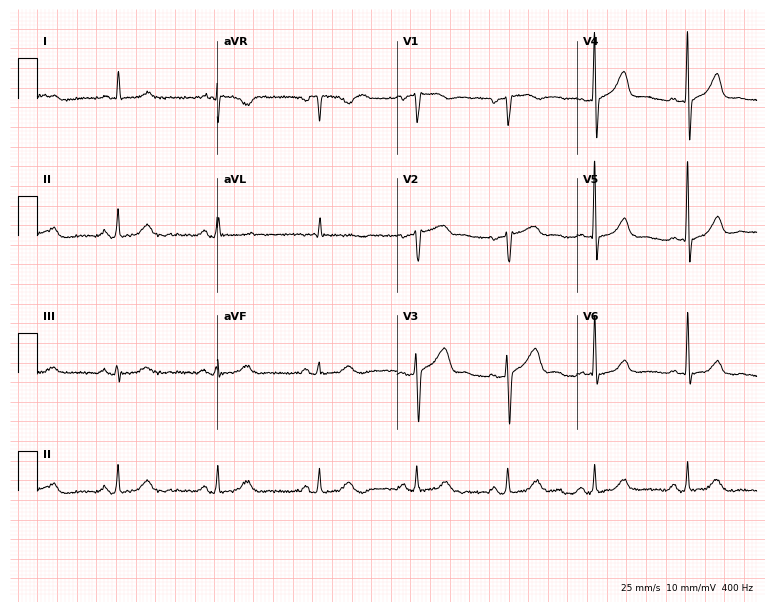
12-lead ECG from a 62-year-old female. Labelled as a normal ECG.